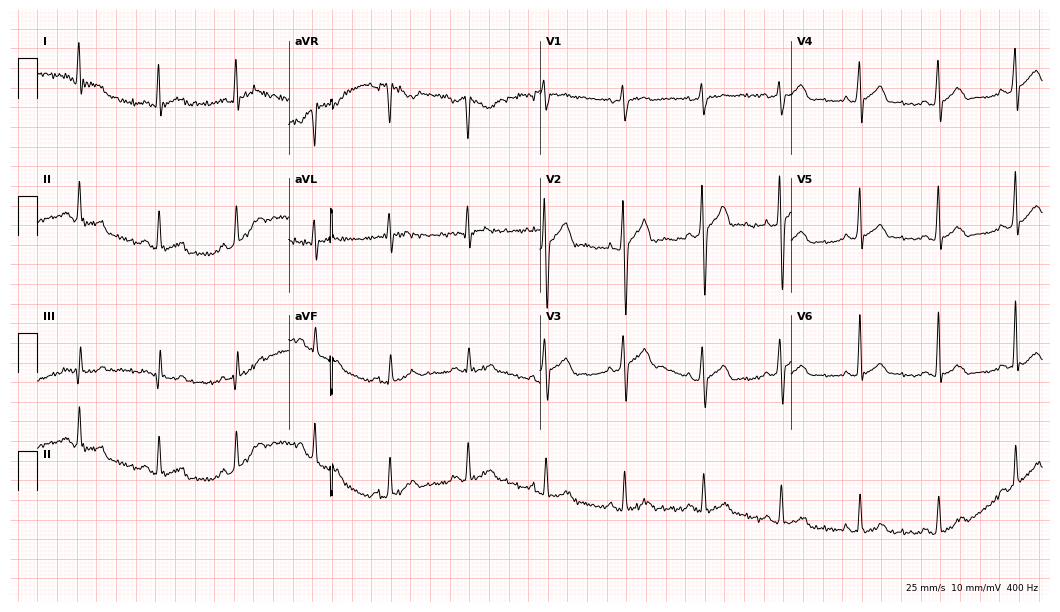
12-lead ECG from a 34-year-old man. Recorded interpretation: within normal limits.